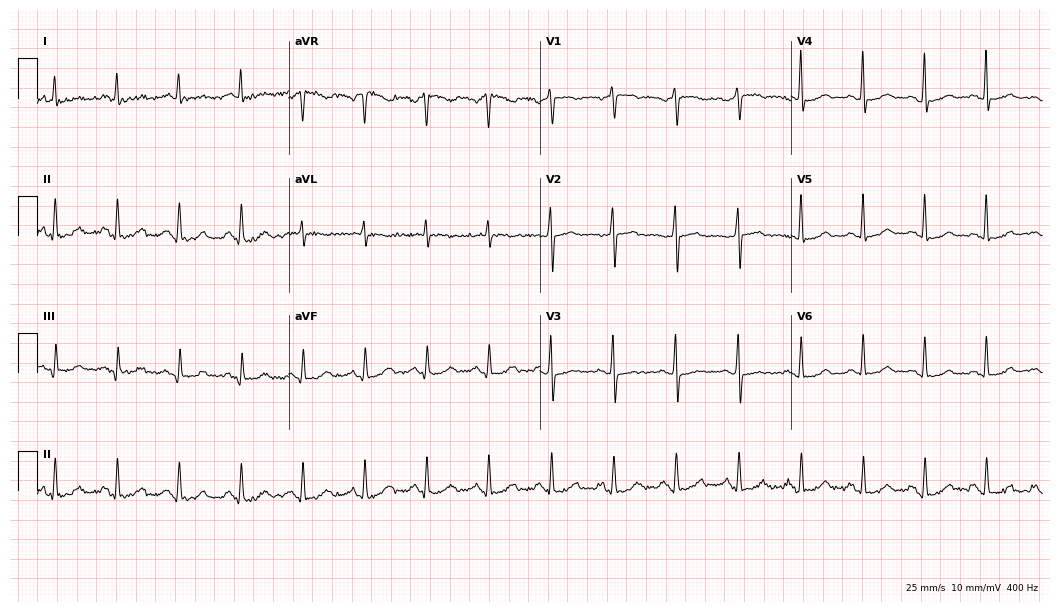
12-lead ECG (10.2-second recording at 400 Hz) from a female, 56 years old. Screened for six findings — first-degree AV block, right bundle branch block, left bundle branch block, sinus bradycardia, atrial fibrillation, sinus tachycardia — none is recorded. Only these six findings were labelled.